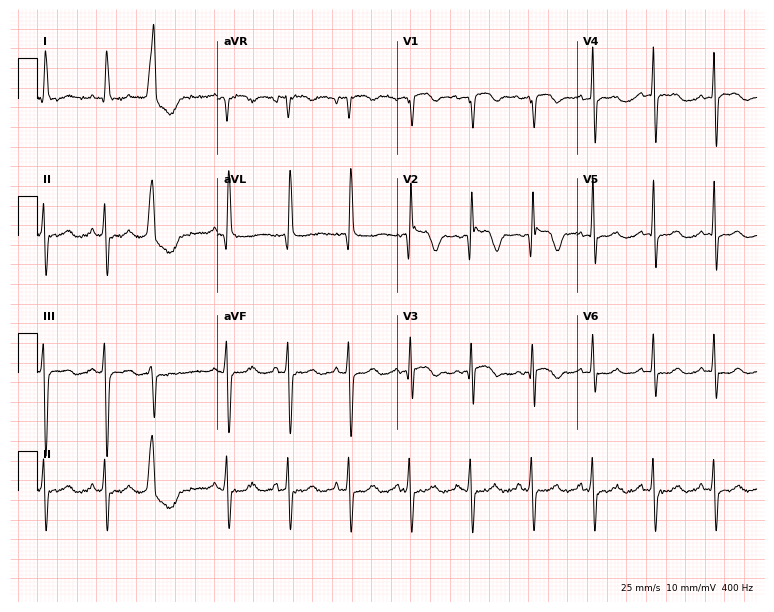
12-lead ECG (7.3-second recording at 400 Hz) from a 67-year-old female patient. Screened for six findings — first-degree AV block, right bundle branch block (RBBB), left bundle branch block (LBBB), sinus bradycardia, atrial fibrillation (AF), sinus tachycardia — none is recorded.